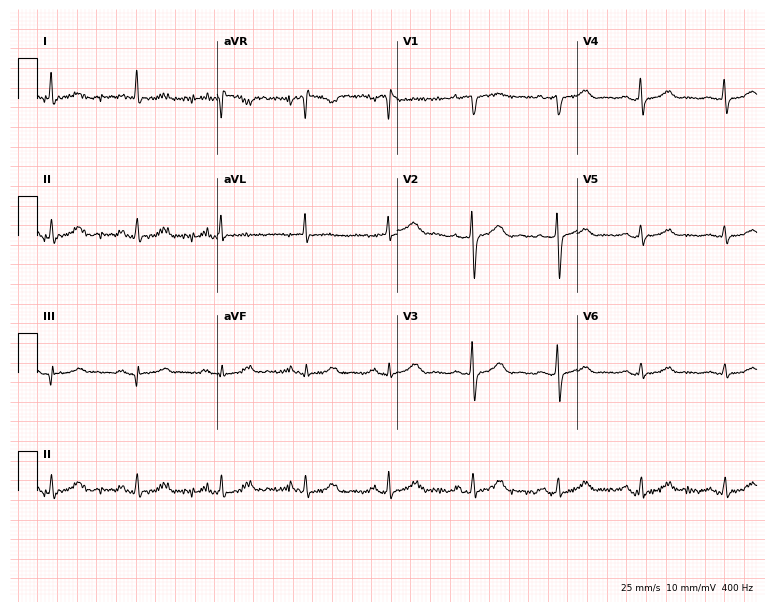
ECG (7.3-second recording at 400 Hz) — a woman, 67 years old. Labelled as a normal ECG.